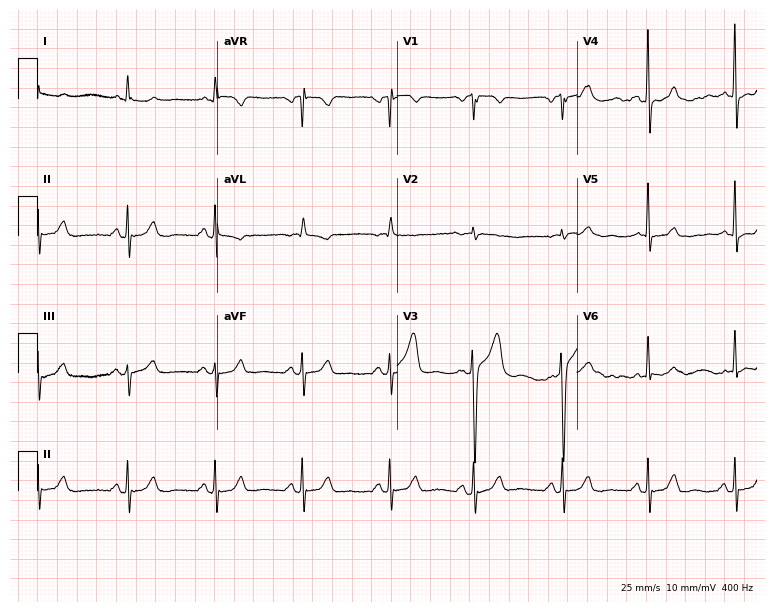
12-lead ECG from a man, 83 years old. Recorded interpretation: within normal limits.